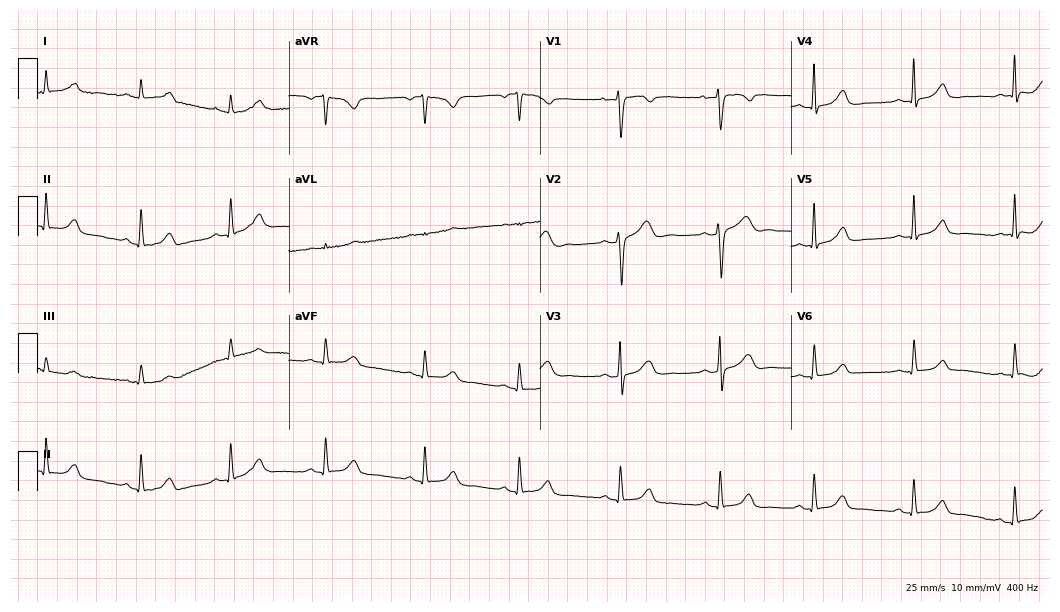
ECG — a female patient, 29 years old. Labelled as a normal ECG.